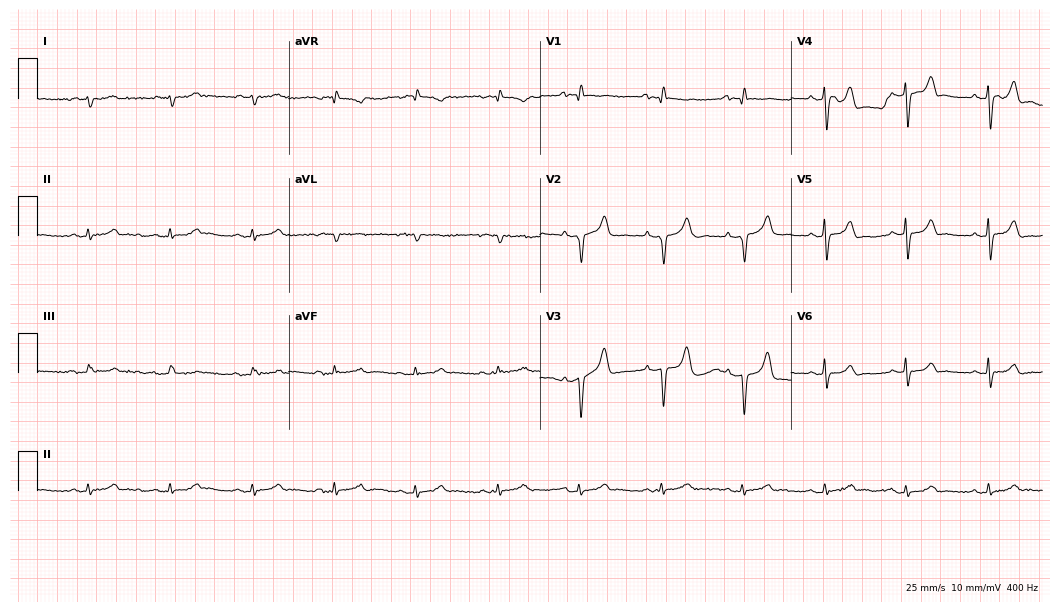
Standard 12-lead ECG recorded from a male patient, 75 years old (10.2-second recording at 400 Hz). None of these six findings is recorded: first-degree AV block, right bundle branch block, left bundle branch block, sinus bradycardia, atrial fibrillation, sinus tachycardia.